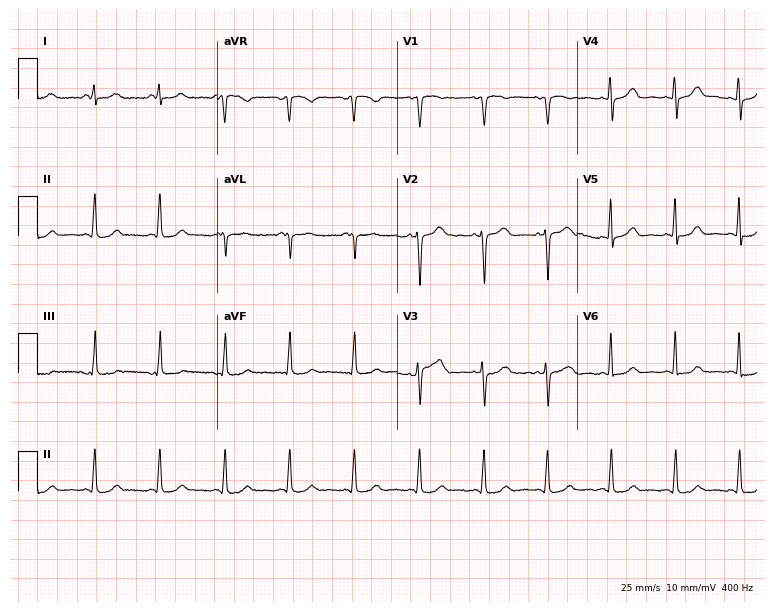
12-lead ECG from a female, 39 years old (7.3-second recording at 400 Hz). Recorded interpretation: within normal limits.